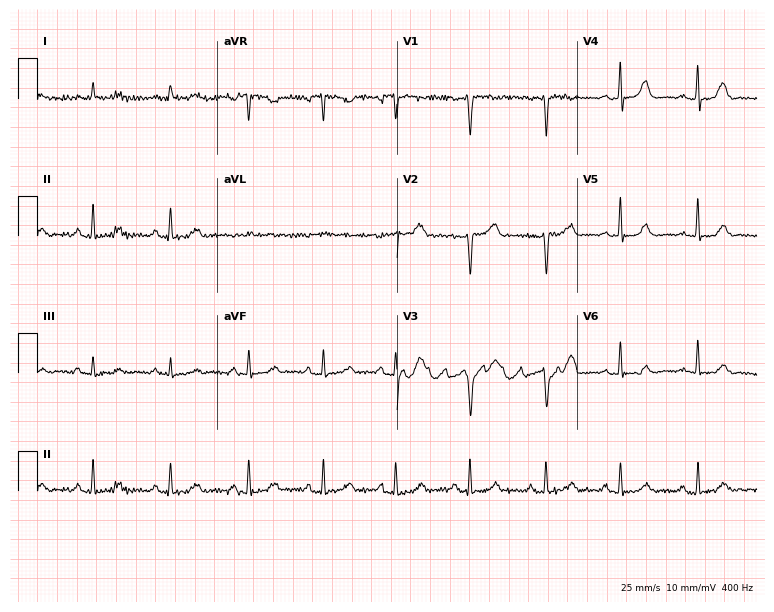
12-lead ECG from a female patient, 43 years old. Screened for six findings — first-degree AV block, right bundle branch block, left bundle branch block, sinus bradycardia, atrial fibrillation, sinus tachycardia — none is recorded.